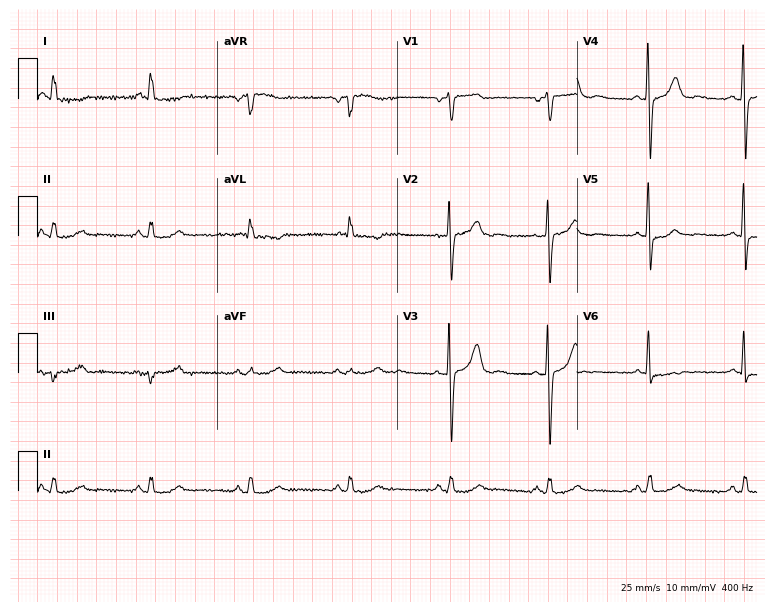
Electrocardiogram, a 78-year-old male. Of the six screened findings (first-degree AV block, right bundle branch block, left bundle branch block, sinus bradycardia, atrial fibrillation, sinus tachycardia), none is recorded.